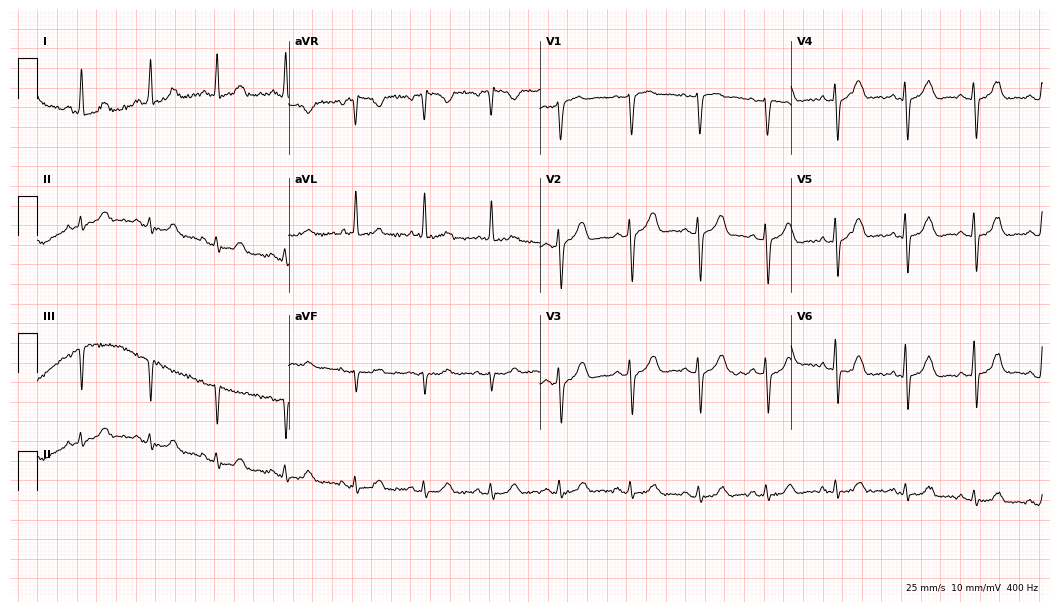
ECG — a female, 81 years old. Screened for six findings — first-degree AV block, right bundle branch block, left bundle branch block, sinus bradycardia, atrial fibrillation, sinus tachycardia — none is recorded.